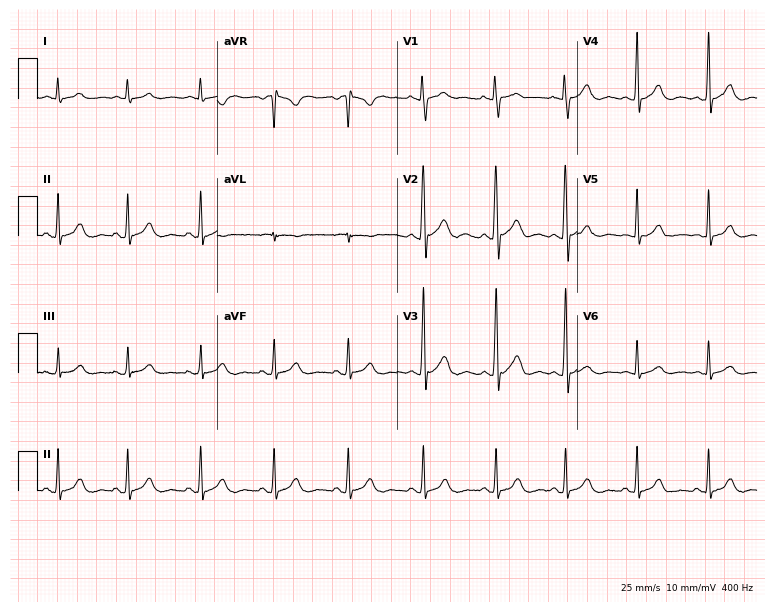
12-lead ECG (7.3-second recording at 400 Hz) from a male patient, 21 years old. Labelled as a normal ECG.